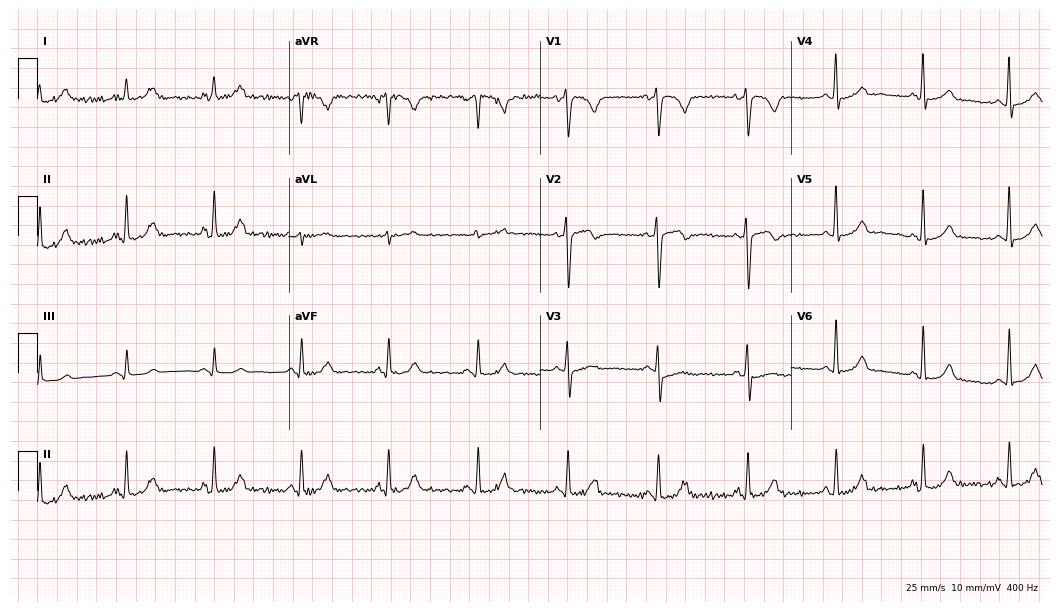
ECG (10.2-second recording at 400 Hz) — a female patient, 45 years old. Screened for six findings — first-degree AV block, right bundle branch block (RBBB), left bundle branch block (LBBB), sinus bradycardia, atrial fibrillation (AF), sinus tachycardia — none is recorded. Other findings, if any, are not listed.